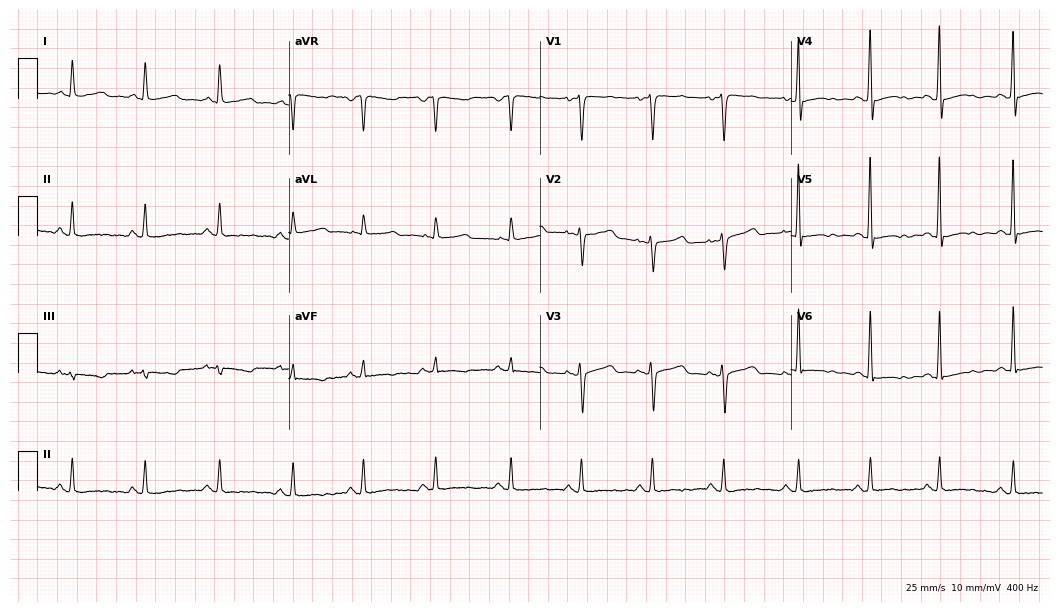
12-lead ECG from a 56-year-old female patient. No first-degree AV block, right bundle branch block, left bundle branch block, sinus bradycardia, atrial fibrillation or sinus tachycardia recorded for this tracing.